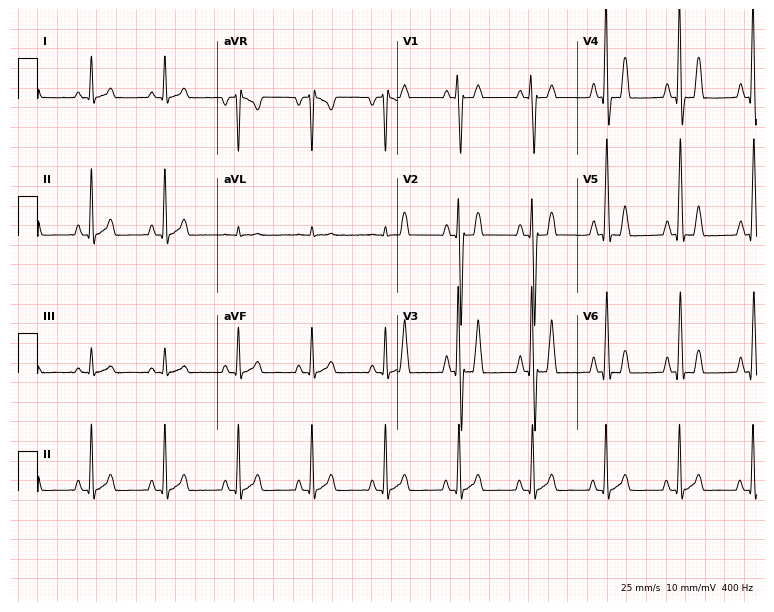
Standard 12-lead ECG recorded from a male patient, 32 years old (7.3-second recording at 400 Hz). None of these six findings is recorded: first-degree AV block, right bundle branch block (RBBB), left bundle branch block (LBBB), sinus bradycardia, atrial fibrillation (AF), sinus tachycardia.